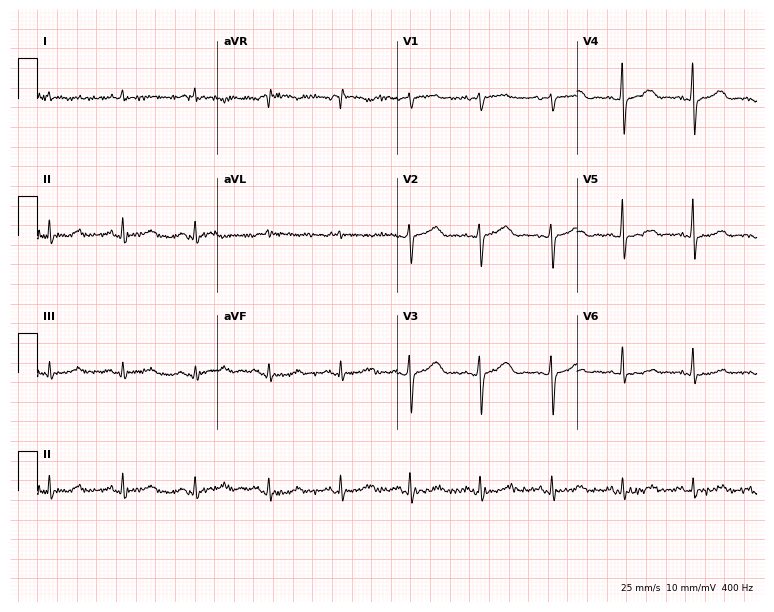
ECG (7.3-second recording at 400 Hz) — a 68-year-old female patient. Screened for six findings — first-degree AV block, right bundle branch block, left bundle branch block, sinus bradycardia, atrial fibrillation, sinus tachycardia — none is recorded. Other findings, if any, are not listed.